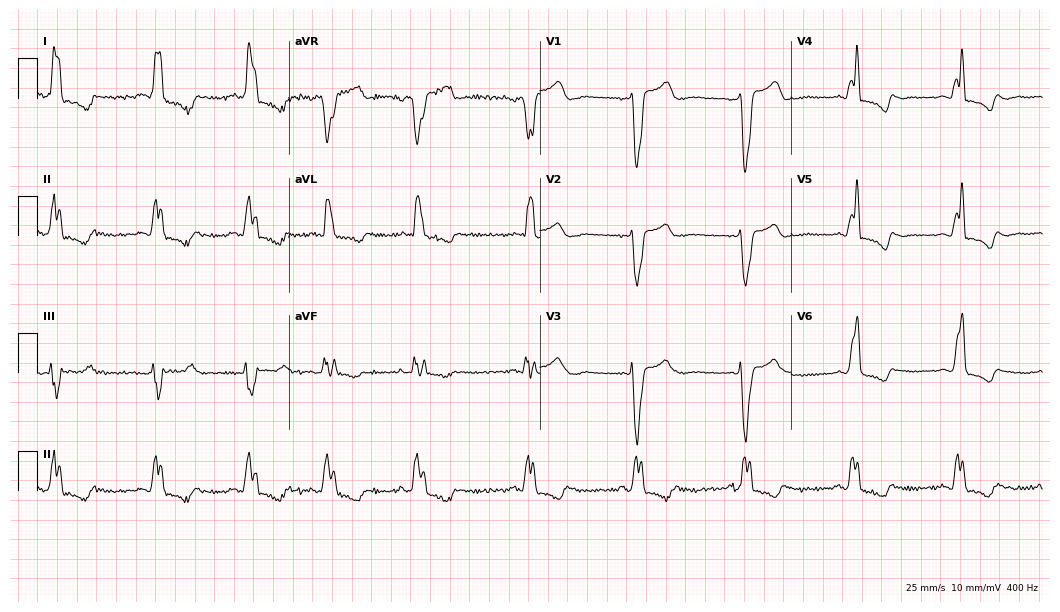
ECG — a 54-year-old female. Findings include left bundle branch block (LBBB).